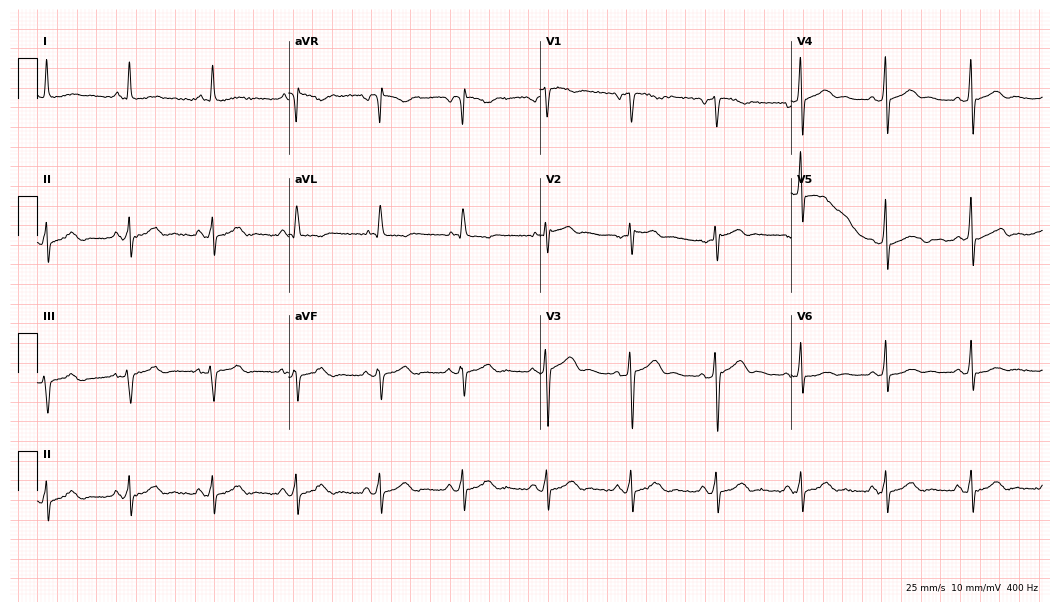
Standard 12-lead ECG recorded from a 70-year-old male (10.2-second recording at 400 Hz). None of these six findings is recorded: first-degree AV block, right bundle branch block (RBBB), left bundle branch block (LBBB), sinus bradycardia, atrial fibrillation (AF), sinus tachycardia. Findings outside these six are not listed.